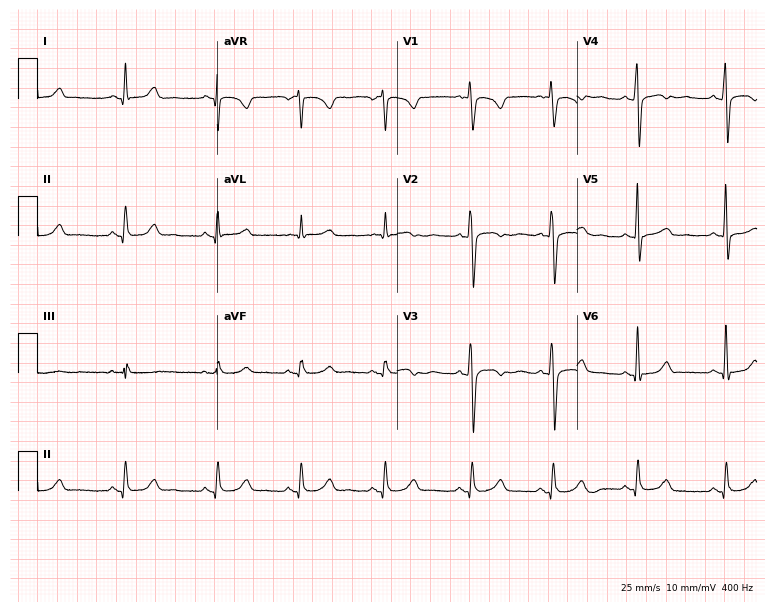
Standard 12-lead ECG recorded from a woman, 39 years old. None of these six findings is recorded: first-degree AV block, right bundle branch block (RBBB), left bundle branch block (LBBB), sinus bradycardia, atrial fibrillation (AF), sinus tachycardia.